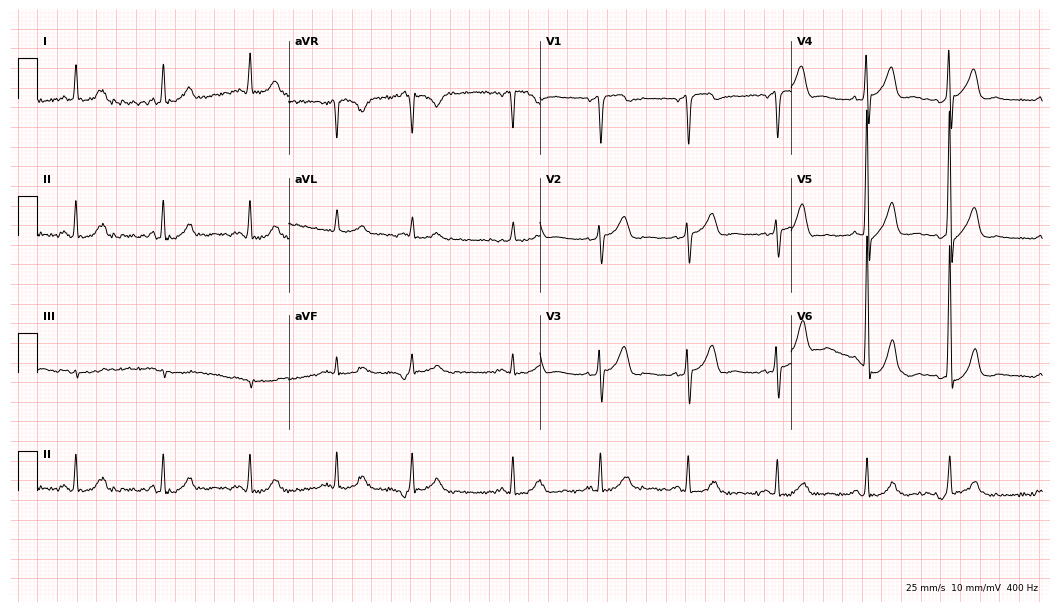
Resting 12-lead electrocardiogram. Patient: a 69-year-old man. None of these six findings is recorded: first-degree AV block, right bundle branch block (RBBB), left bundle branch block (LBBB), sinus bradycardia, atrial fibrillation (AF), sinus tachycardia.